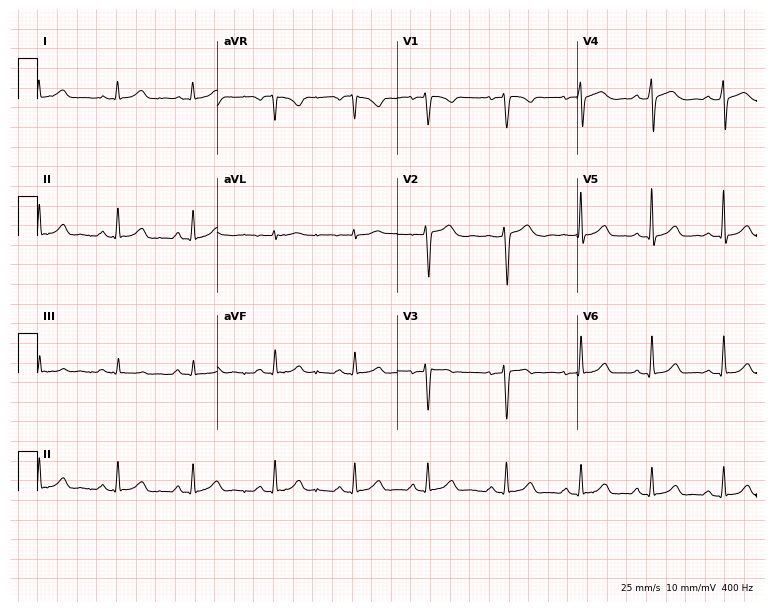
Electrocardiogram, a 21-year-old female patient. Of the six screened findings (first-degree AV block, right bundle branch block, left bundle branch block, sinus bradycardia, atrial fibrillation, sinus tachycardia), none is recorded. Other findings, if any, are not listed.